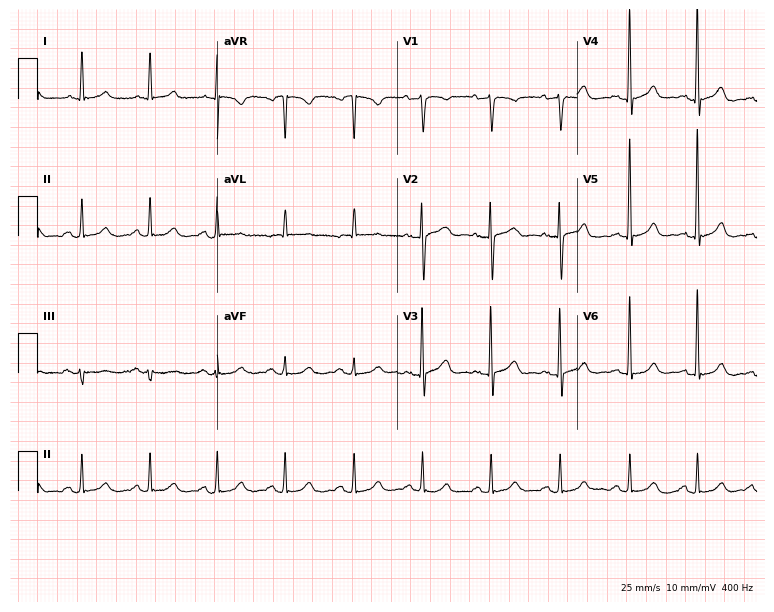
12-lead ECG from a woman, 68 years old. Screened for six findings — first-degree AV block, right bundle branch block, left bundle branch block, sinus bradycardia, atrial fibrillation, sinus tachycardia — none is recorded. Other findings, if any, are not listed.